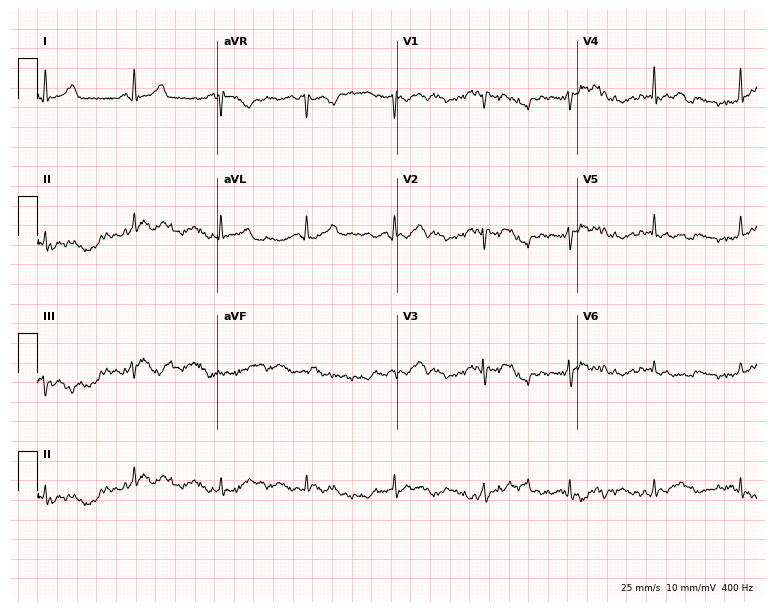
12-lead ECG from a 23-year-old man (7.3-second recording at 400 Hz). No first-degree AV block, right bundle branch block (RBBB), left bundle branch block (LBBB), sinus bradycardia, atrial fibrillation (AF) or sinus tachycardia recorded for this tracing. Findings outside these six are not listed.